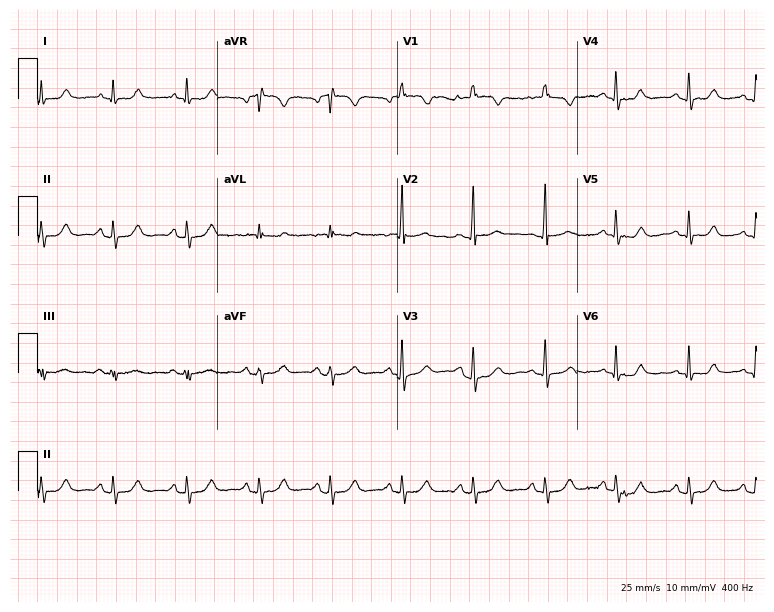
Electrocardiogram (7.3-second recording at 400 Hz), a 52-year-old female patient. Of the six screened findings (first-degree AV block, right bundle branch block, left bundle branch block, sinus bradycardia, atrial fibrillation, sinus tachycardia), none is recorded.